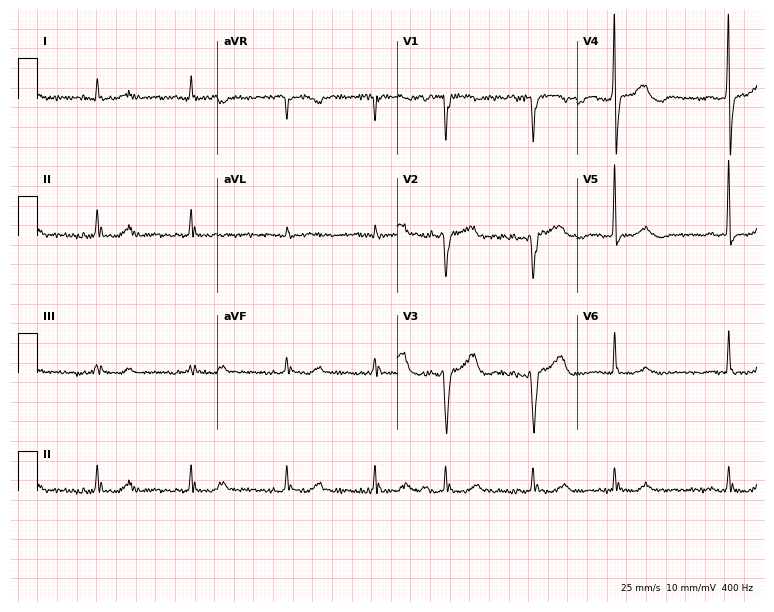
12-lead ECG (7.3-second recording at 400 Hz) from a 70-year-old man. Findings include atrial fibrillation.